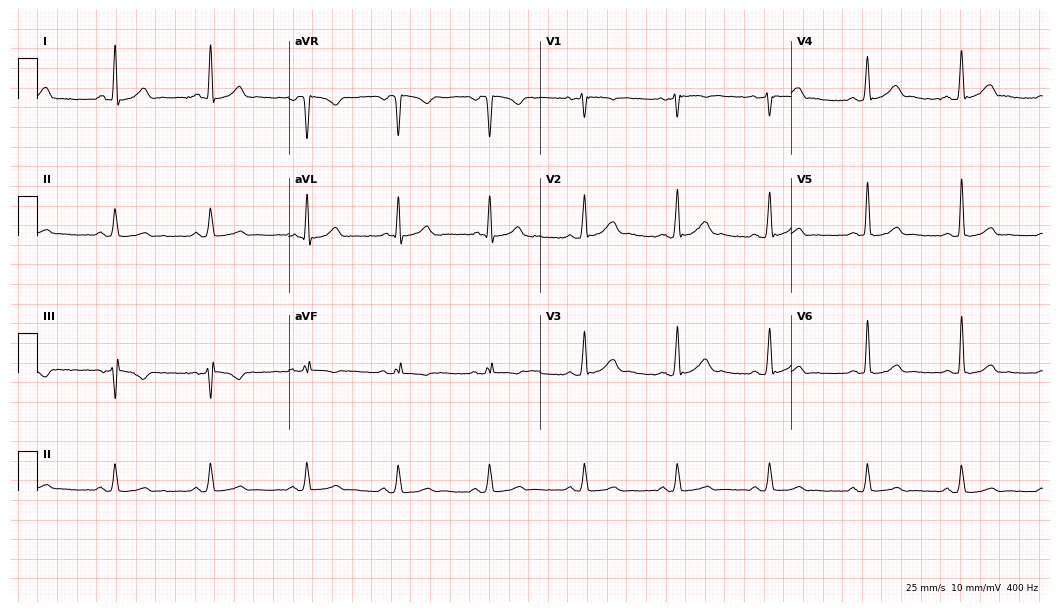
12-lead ECG from a 35-year-old male patient. Recorded interpretation: within normal limits.